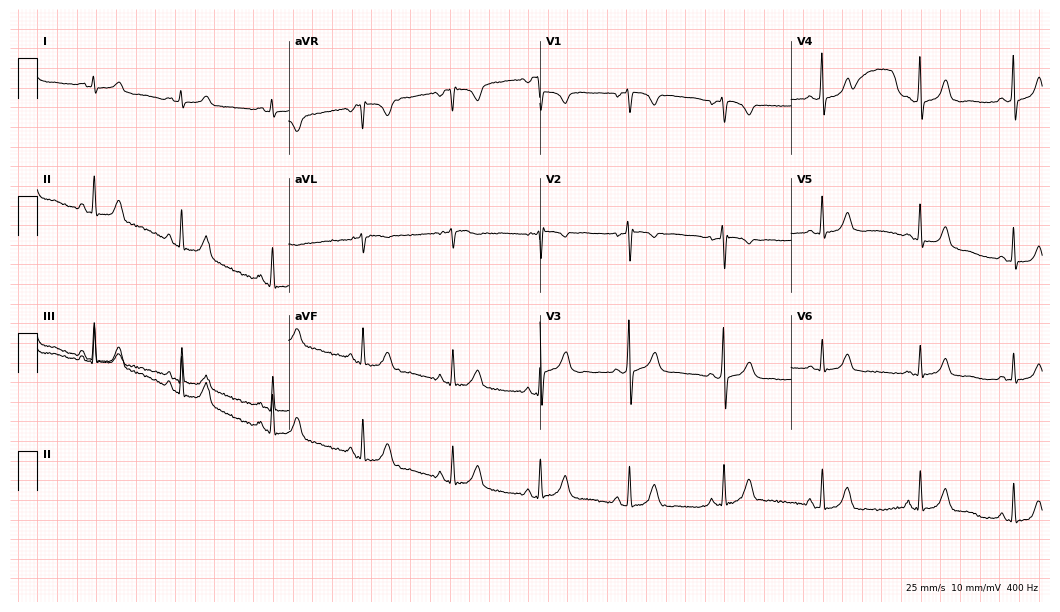
12-lead ECG from a 28-year-old female. Labelled as a normal ECG.